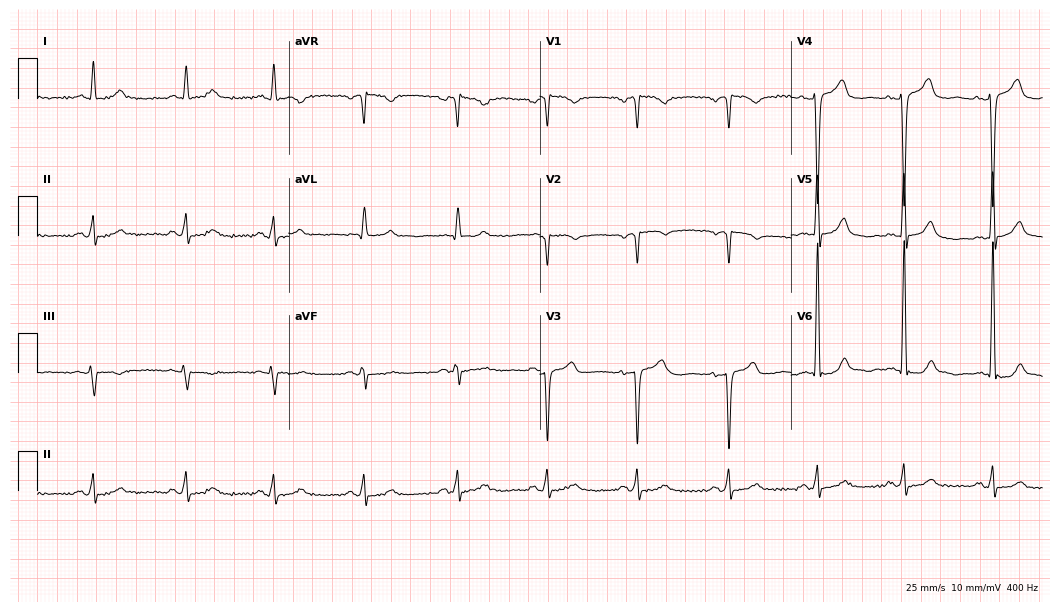
12-lead ECG from a male, 56 years old. Screened for six findings — first-degree AV block, right bundle branch block, left bundle branch block, sinus bradycardia, atrial fibrillation, sinus tachycardia — none is recorded. Other findings, if any, are not listed.